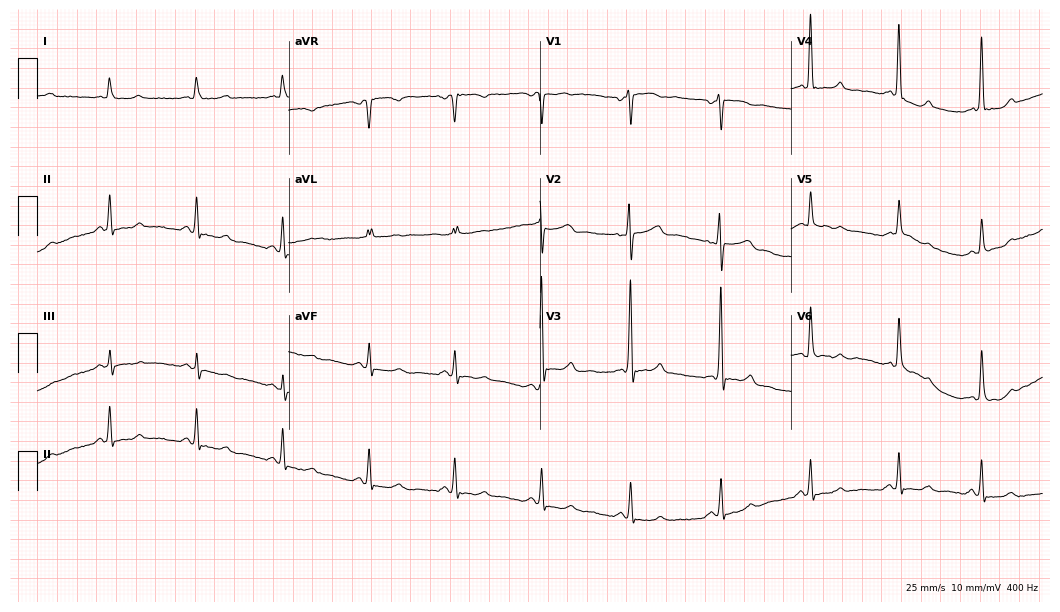
Resting 12-lead electrocardiogram. Patient: a man, 46 years old. None of these six findings is recorded: first-degree AV block, right bundle branch block, left bundle branch block, sinus bradycardia, atrial fibrillation, sinus tachycardia. Other findings, if any, are not listed.